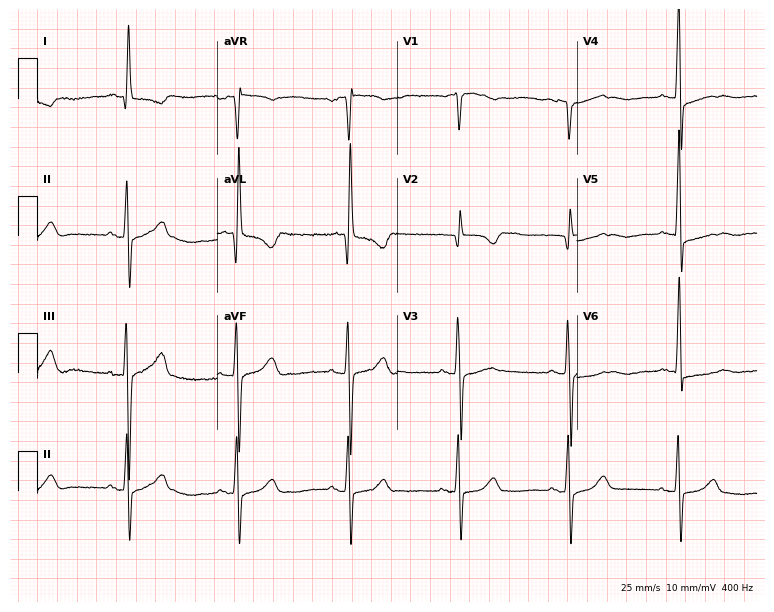
12-lead ECG (7.3-second recording at 400 Hz) from a woman, 65 years old. Screened for six findings — first-degree AV block, right bundle branch block, left bundle branch block, sinus bradycardia, atrial fibrillation, sinus tachycardia — none is recorded. Only these six findings were labelled.